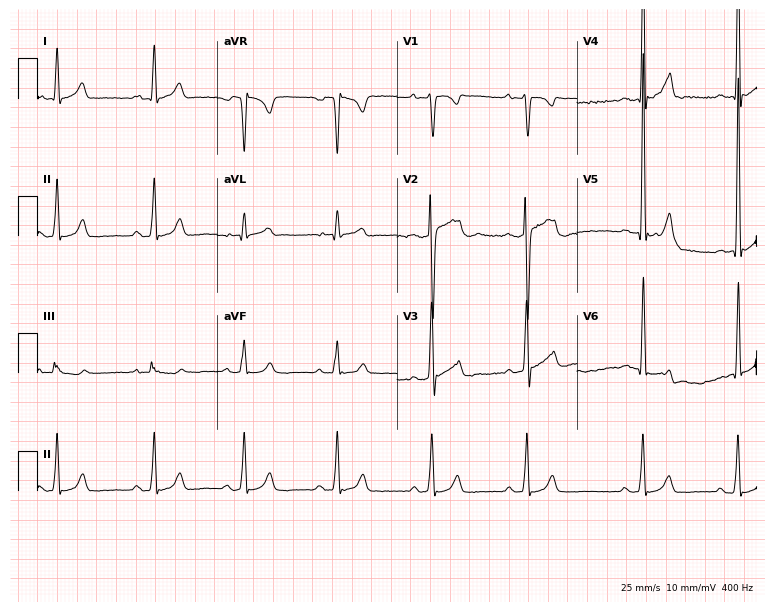
Electrocardiogram (7.3-second recording at 400 Hz), a man, 21 years old. Of the six screened findings (first-degree AV block, right bundle branch block, left bundle branch block, sinus bradycardia, atrial fibrillation, sinus tachycardia), none is recorded. Findings outside these six are not listed.